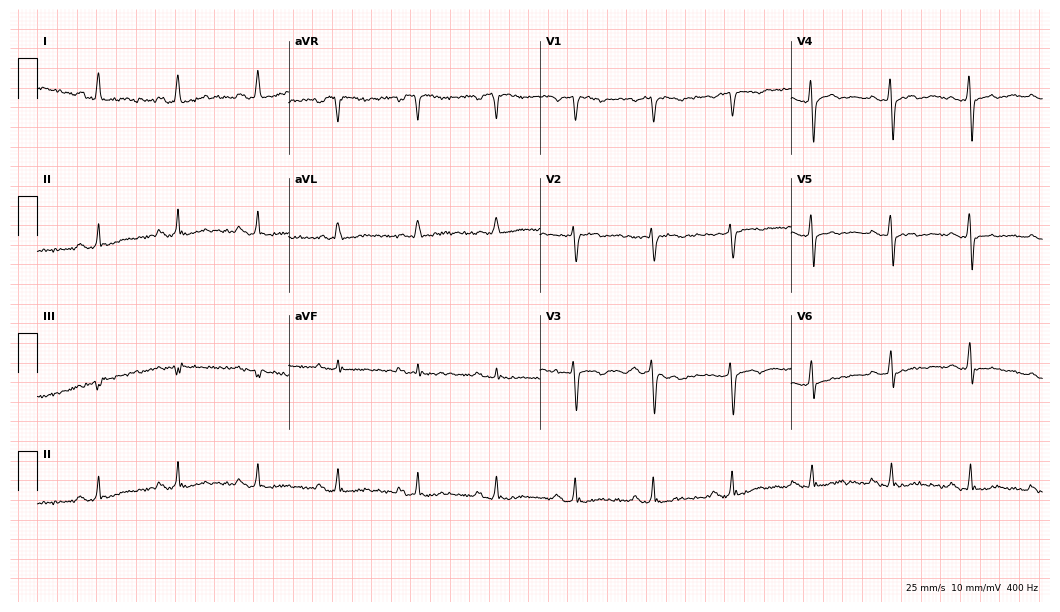
12-lead ECG (10.2-second recording at 400 Hz) from a female, 44 years old. Screened for six findings — first-degree AV block, right bundle branch block (RBBB), left bundle branch block (LBBB), sinus bradycardia, atrial fibrillation (AF), sinus tachycardia — none is recorded.